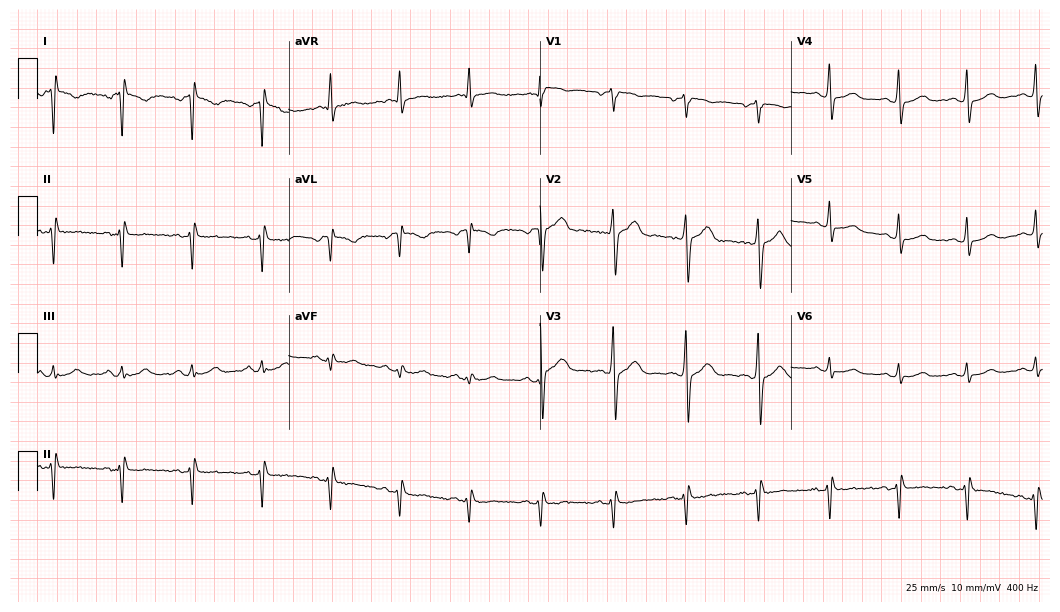
ECG (10.2-second recording at 400 Hz) — a male, 44 years old. Screened for six findings — first-degree AV block, right bundle branch block, left bundle branch block, sinus bradycardia, atrial fibrillation, sinus tachycardia — none is recorded.